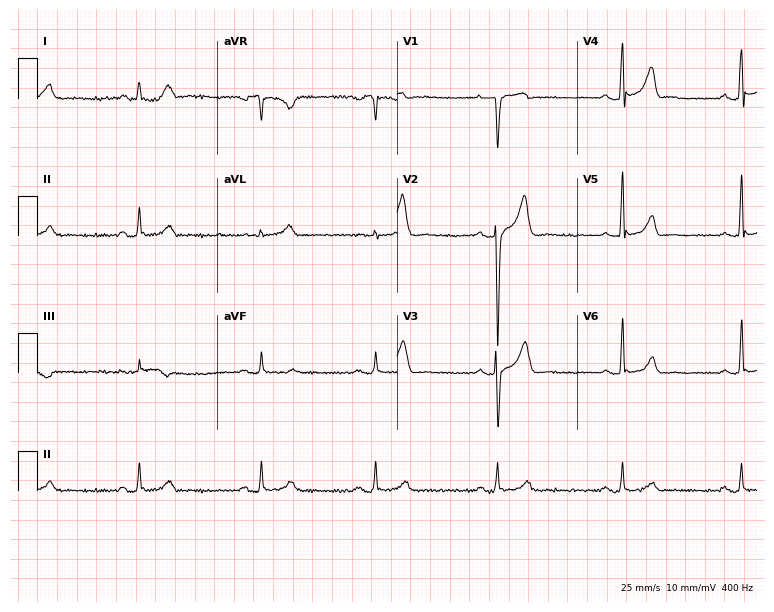
Electrocardiogram (7.3-second recording at 400 Hz), a male patient, 36 years old. Interpretation includes sinus bradycardia (a sinus rate of 50 beats per minute or less).